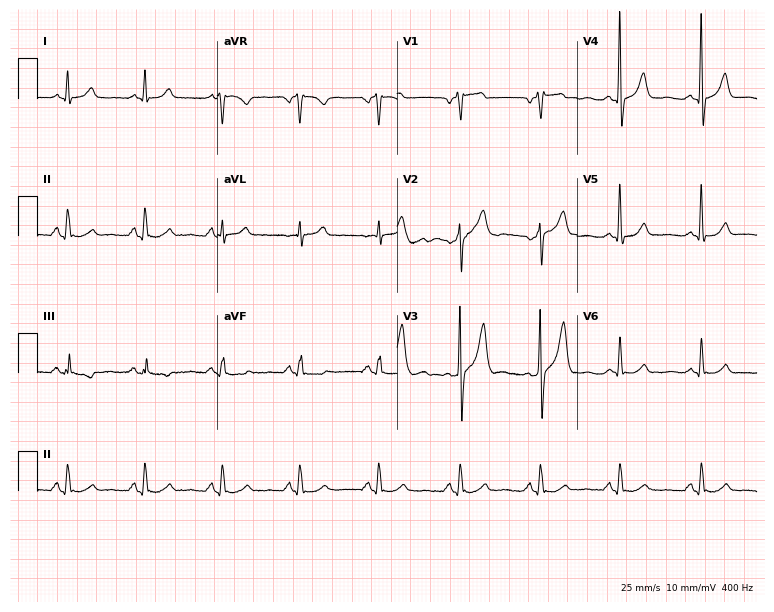
Resting 12-lead electrocardiogram (7.3-second recording at 400 Hz). Patient: a man, 55 years old. None of these six findings is recorded: first-degree AV block, right bundle branch block, left bundle branch block, sinus bradycardia, atrial fibrillation, sinus tachycardia.